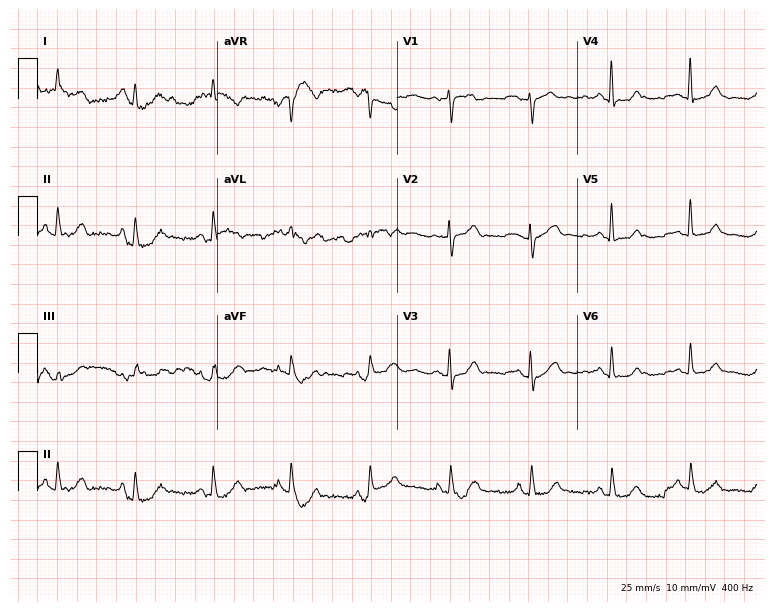
12-lead ECG from a 72-year-old woman. Labelled as a normal ECG.